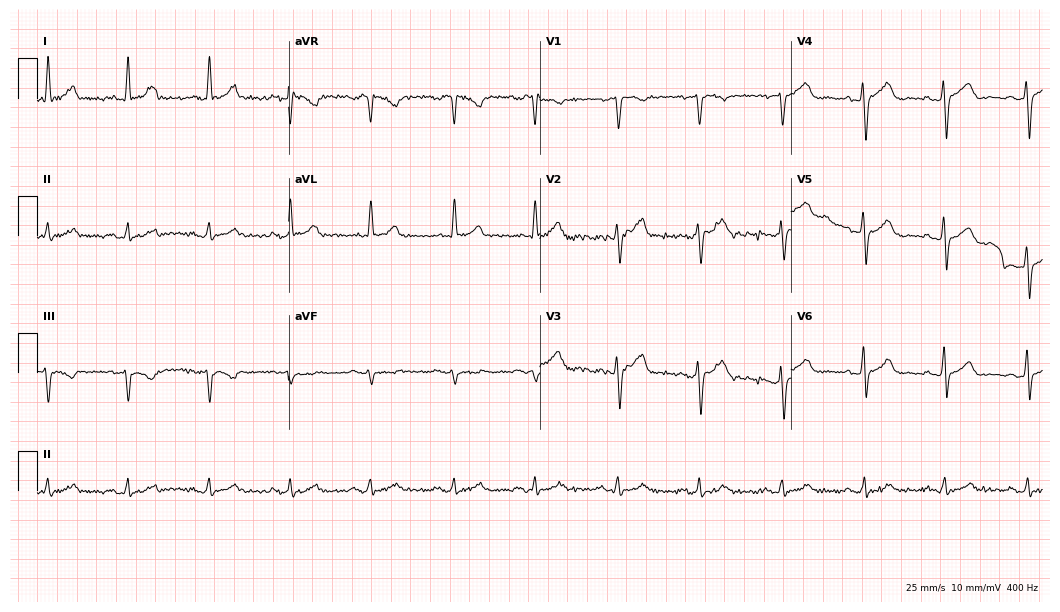
12-lead ECG from a 57-year-old male. Labelled as a normal ECG.